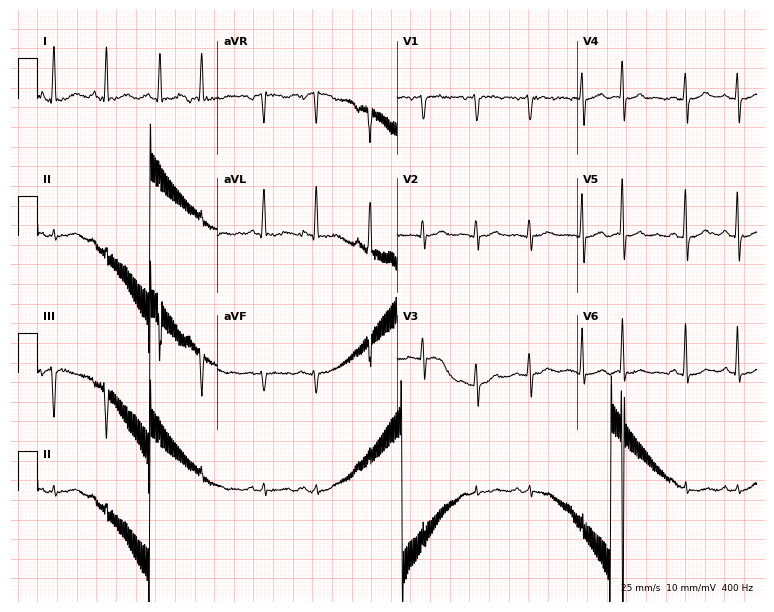
12-lead ECG from a female patient, 64 years old. Shows sinus tachycardia (a sinus rate of 100 beats per minute or more).